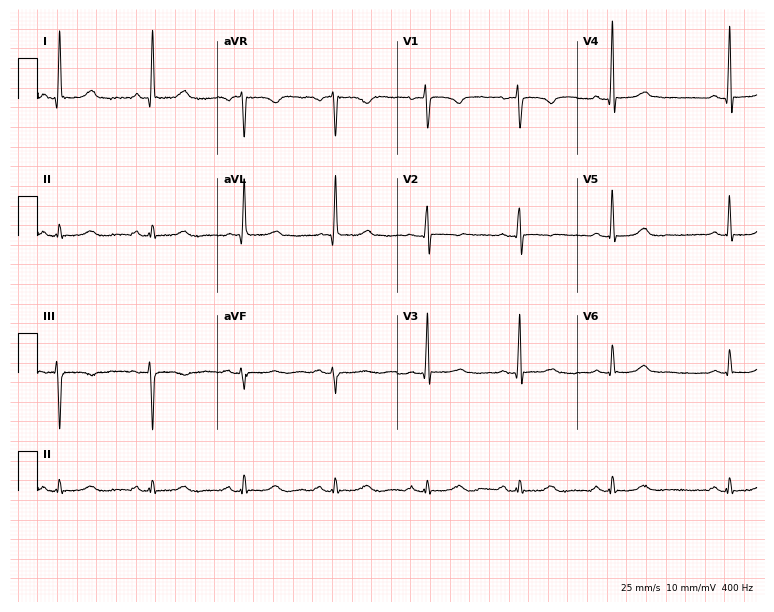
ECG — a 74-year-old female patient. Labelled as a normal ECG.